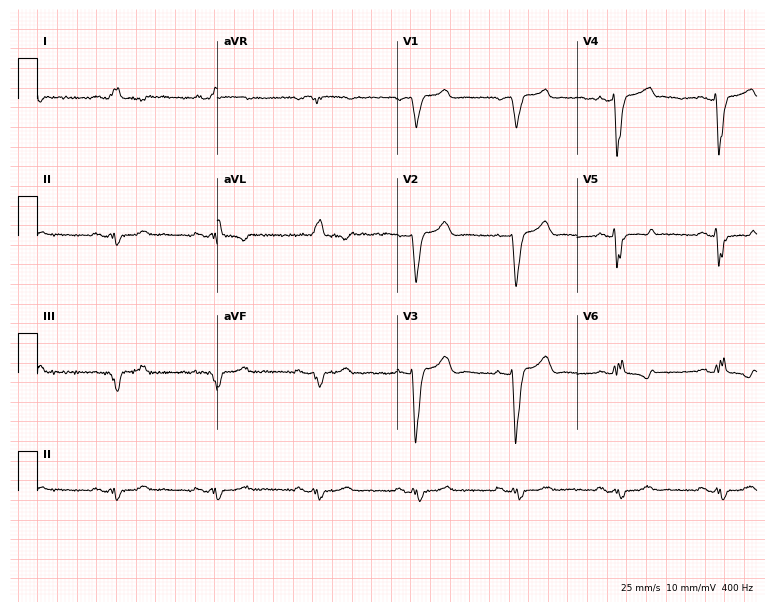
Standard 12-lead ECG recorded from a male patient, 78 years old (7.3-second recording at 400 Hz). The tracing shows left bundle branch block (LBBB).